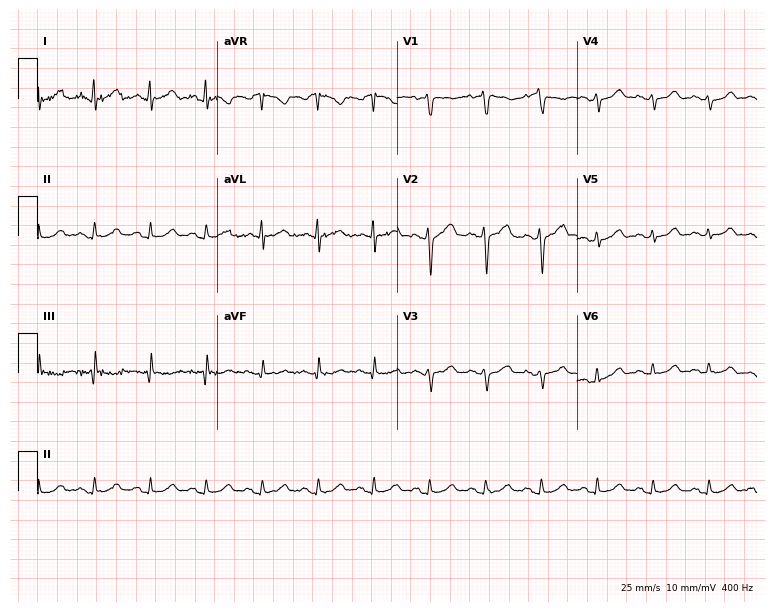
Electrocardiogram (7.3-second recording at 400 Hz), a male patient, 33 years old. Interpretation includes sinus tachycardia (a sinus rate of 100 beats per minute or more).